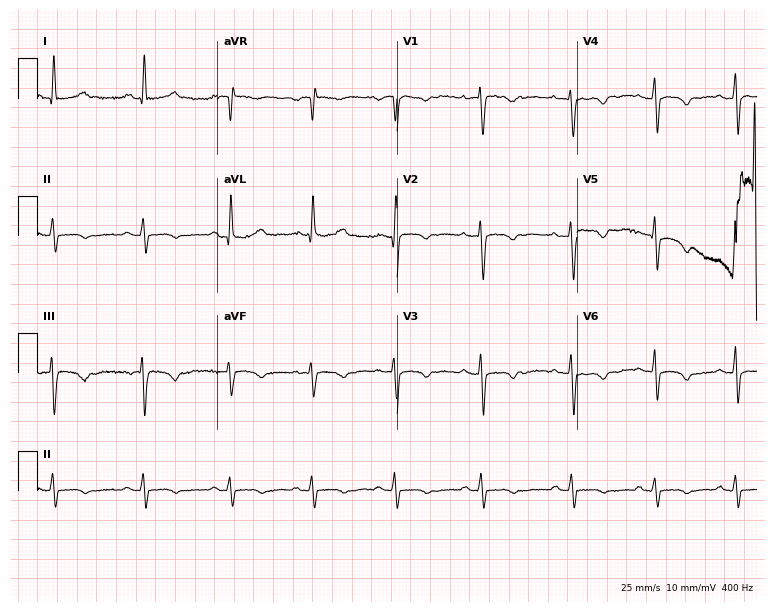
ECG (7.3-second recording at 400 Hz) — a 43-year-old woman. Screened for six findings — first-degree AV block, right bundle branch block (RBBB), left bundle branch block (LBBB), sinus bradycardia, atrial fibrillation (AF), sinus tachycardia — none is recorded.